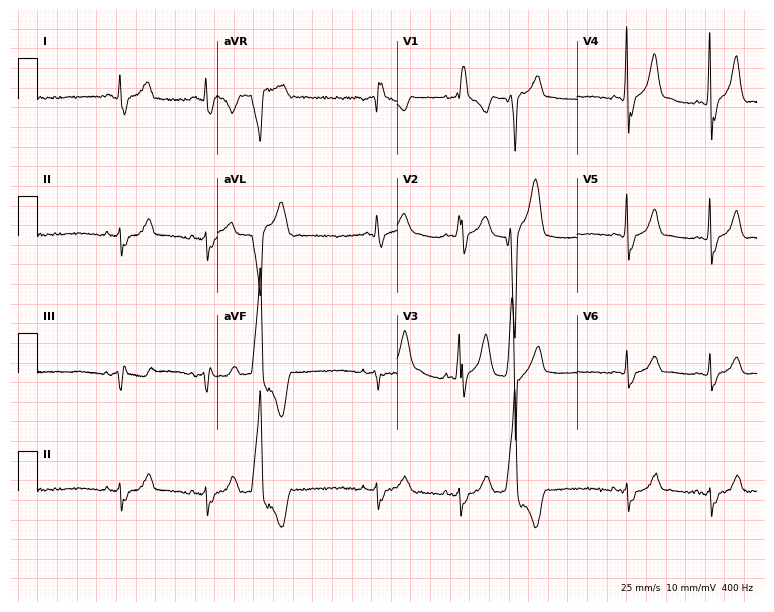
Standard 12-lead ECG recorded from a male patient, 70 years old. The tracing shows right bundle branch block (RBBB).